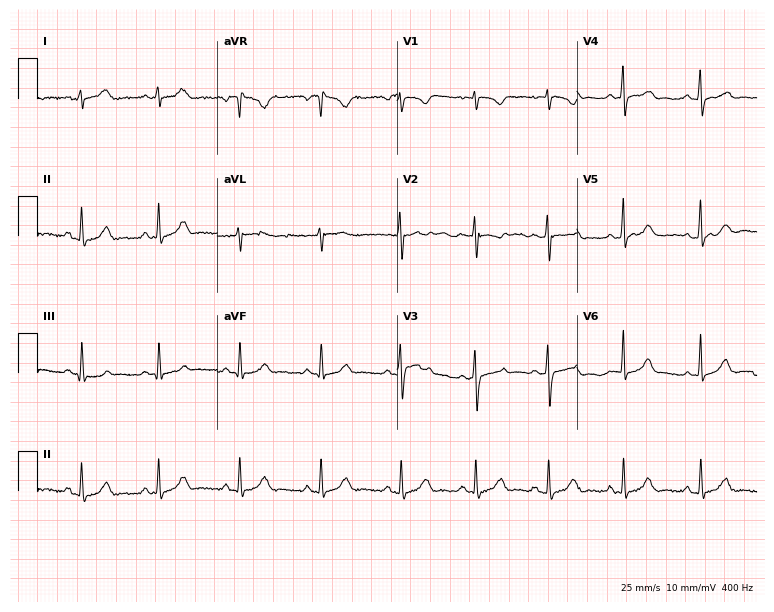
Electrocardiogram, a 29-year-old female. Overall reading on record: normal ECG.